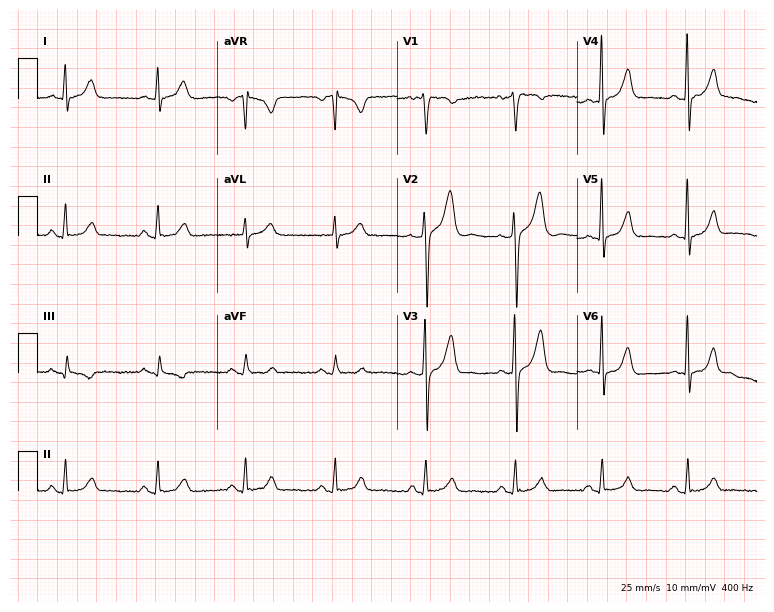
Resting 12-lead electrocardiogram. Patient: a 52-year-old male. Read as a normal ECG.